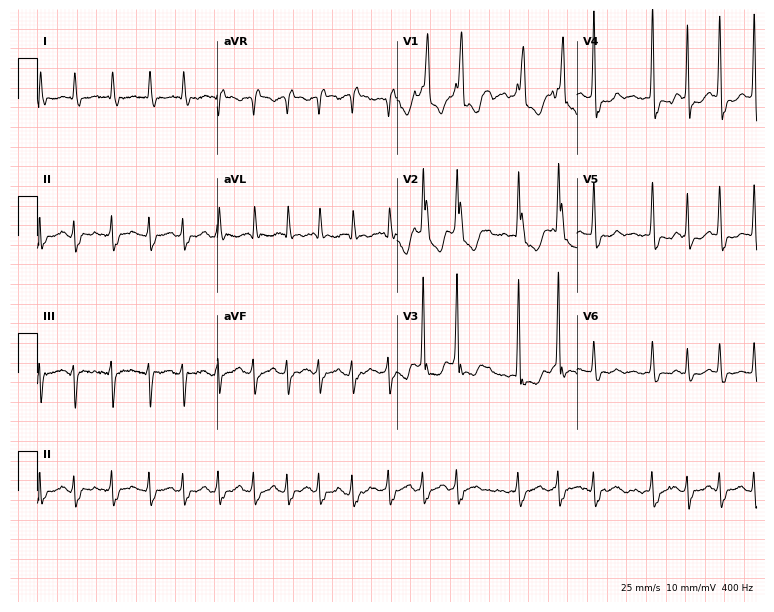
12-lead ECG from an 81-year-old male (7.3-second recording at 400 Hz). Shows right bundle branch block, atrial fibrillation.